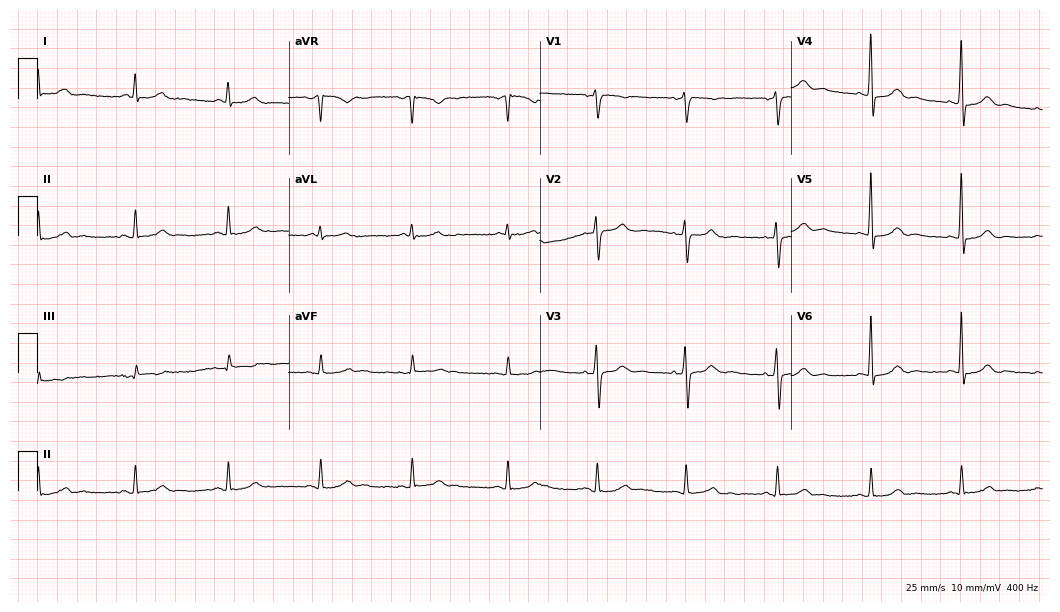
12-lead ECG from a 57-year-old male patient (10.2-second recording at 400 Hz). Recorded interpretation: within normal limits.